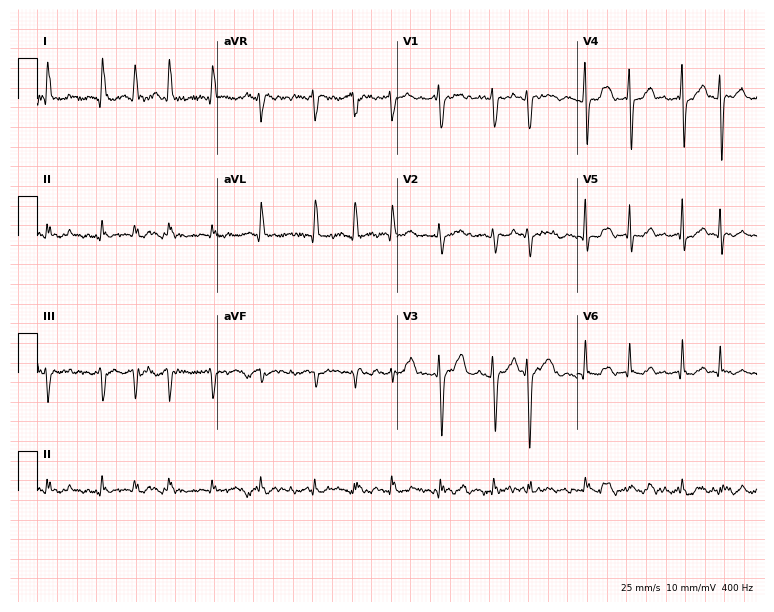
Standard 12-lead ECG recorded from a 78-year-old female (7.3-second recording at 400 Hz). The tracing shows atrial fibrillation.